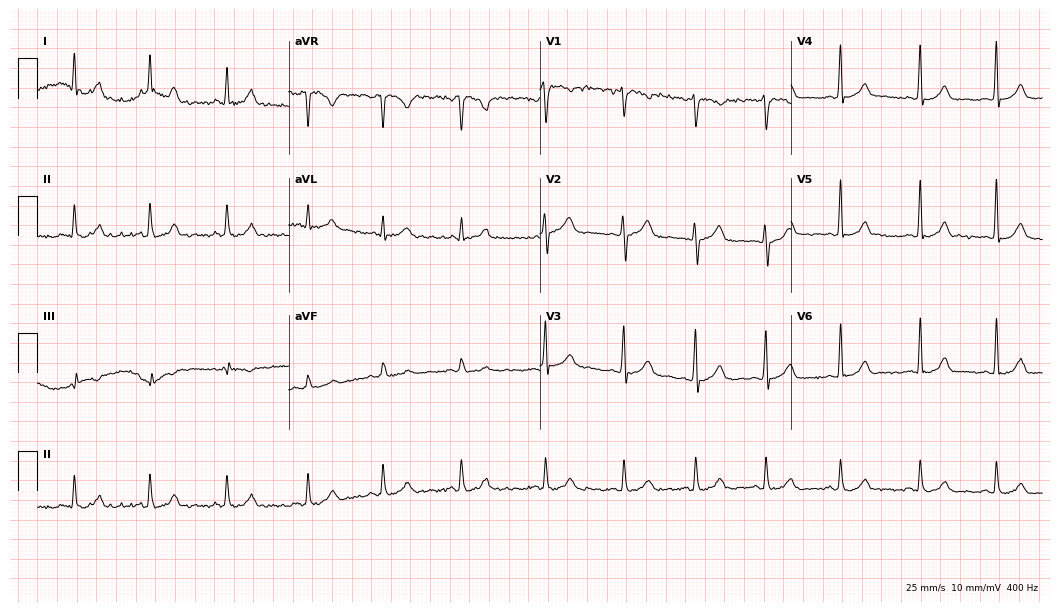
12-lead ECG from a woman, 30 years old (10.2-second recording at 400 Hz). No first-degree AV block, right bundle branch block, left bundle branch block, sinus bradycardia, atrial fibrillation or sinus tachycardia recorded for this tracing. Only these six findings were labelled.